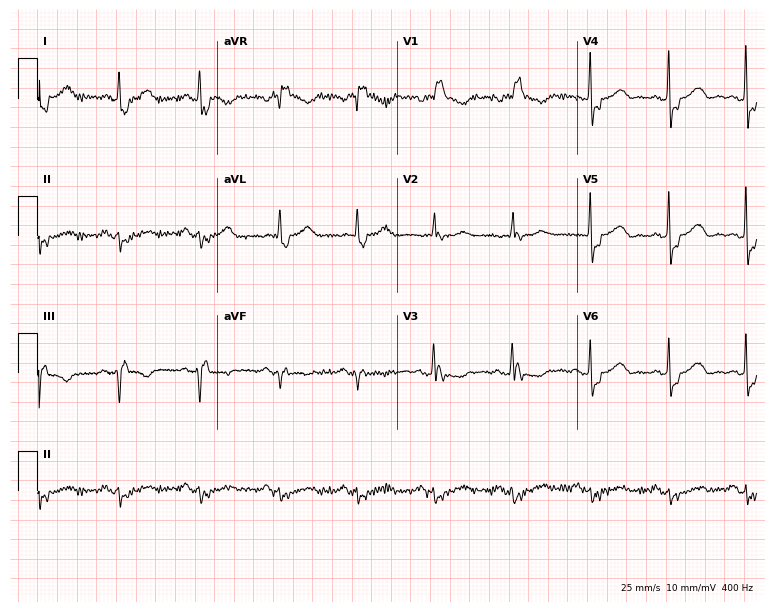
12-lead ECG from a woman, 74 years old. Screened for six findings — first-degree AV block, right bundle branch block, left bundle branch block, sinus bradycardia, atrial fibrillation, sinus tachycardia — none is recorded.